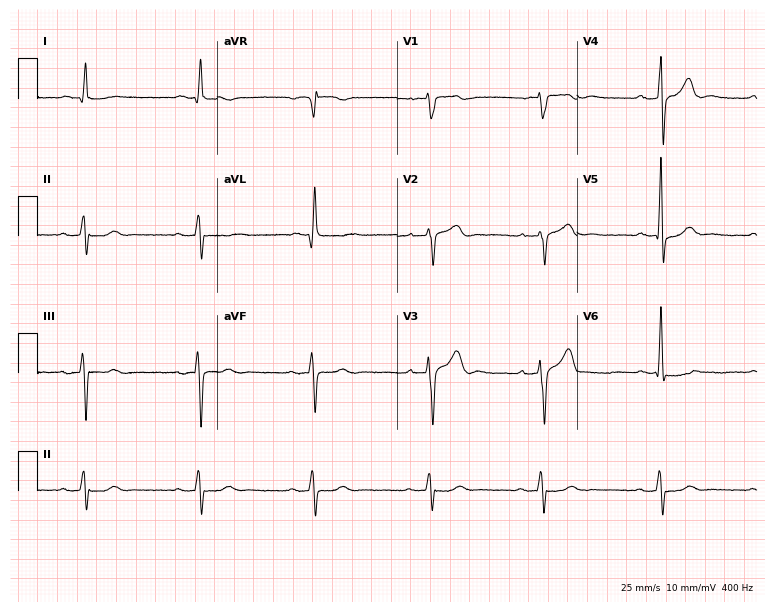
Standard 12-lead ECG recorded from a male patient, 72 years old. None of these six findings is recorded: first-degree AV block, right bundle branch block, left bundle branch block, sinus bradycardia, atrial fibrillation, sinus tachycardia.